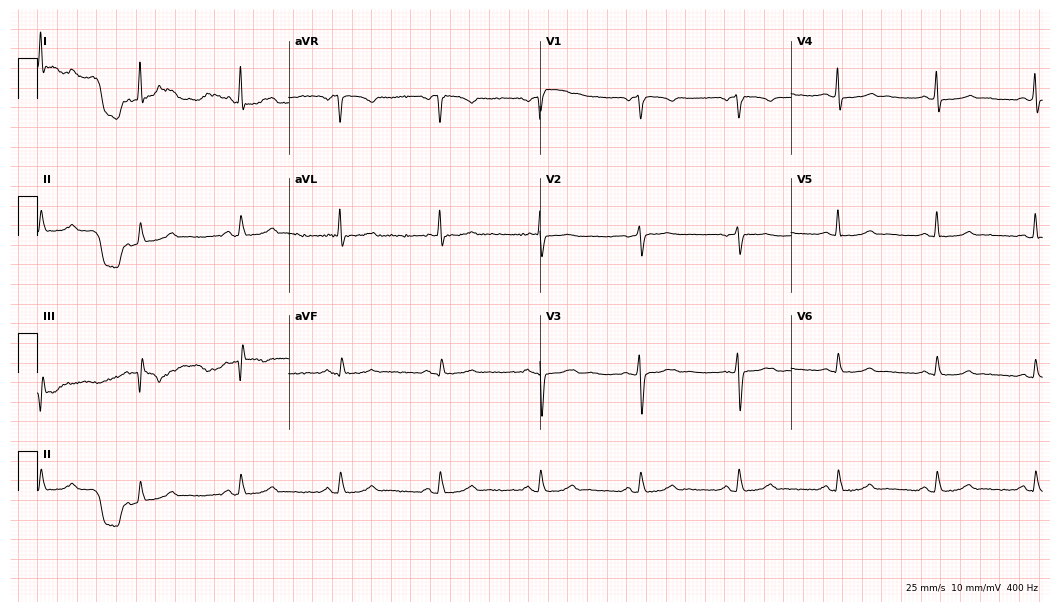
12-lead ECG from a female patient, 56 years old. Recorded interpretation: within normal limits.